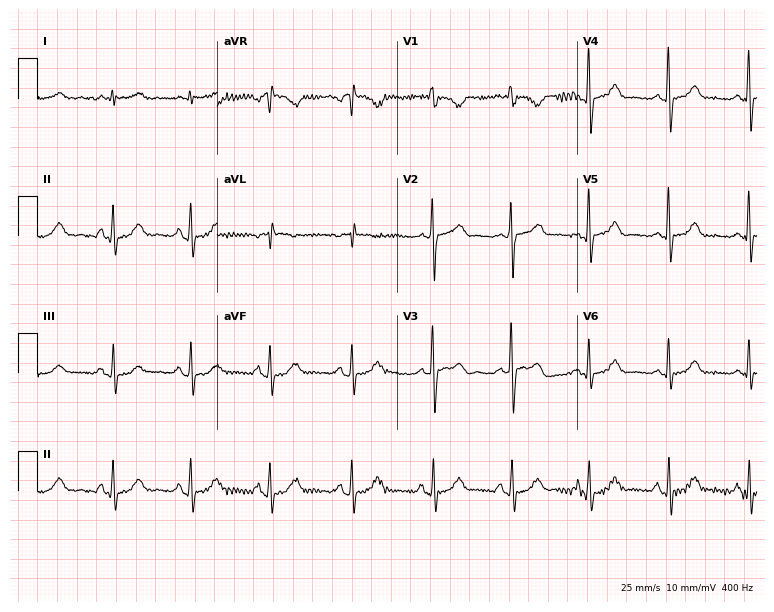
Standard 12-lead ECG recorded from a female patient, 70 years old (7.3-second recording at 400 Hz). None of these six findings is recorded: first-degree AV block, right bundle branch block (RBBB), left bundle branch block (LBBB), sinus bradycardia, atrial fibrillation (AF), sinus tachycardia.